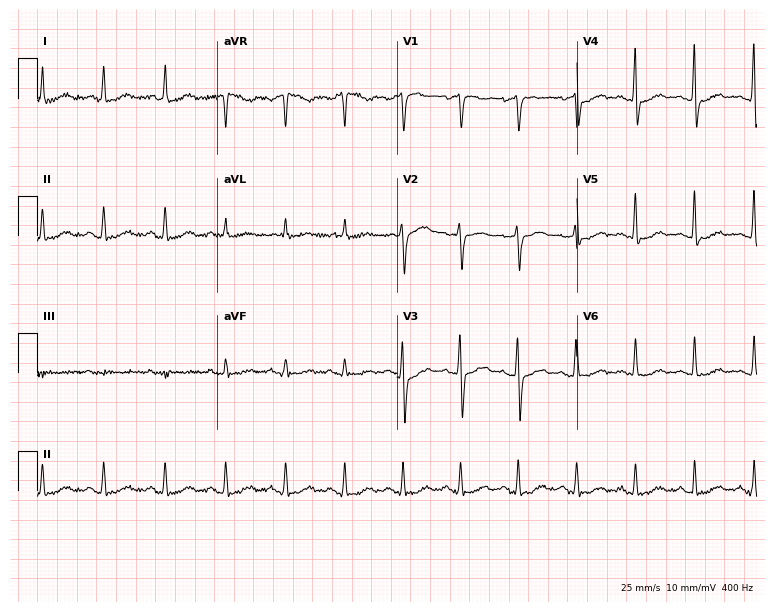
Electrocardiogram, a female, 52 years old. Of the six screened findings (first-degree AV block, right bundle branch block, left bundle branch block, sinus bradycardia, atrial fibrillation, sinus tachycardia), none is recorded.